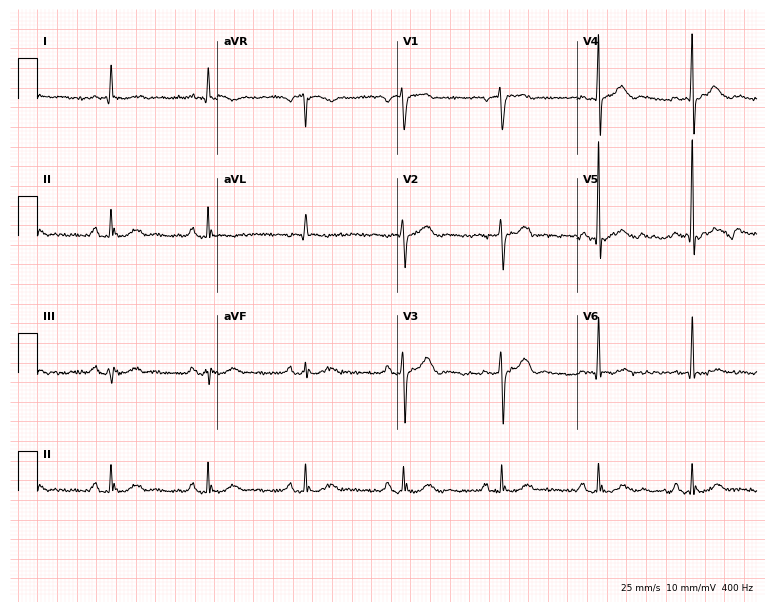
ECG (7.3-second recording at 400 Hz) — an 84-year-old man. Screened for six findings — first-degree AV block, right bundle branch block, left bundle branch block, sinus bradycardia, atrial fibrillation, sinus tachycardia — none is recorded. Only these six findings were labelled.